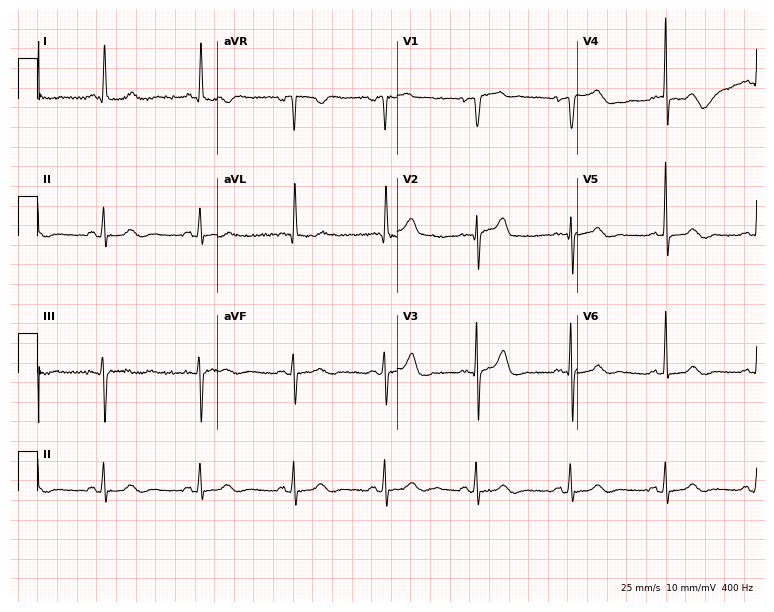
Standard 12-lead ECG recorded from a woman, 67 years old. None of these six findings is recorded: first-degree AV block, right bundle branch block (RBBB), left bundle branch block (LBBB), sinus bradycardia, atrial fibrillation (AF), sinus tachycardia.